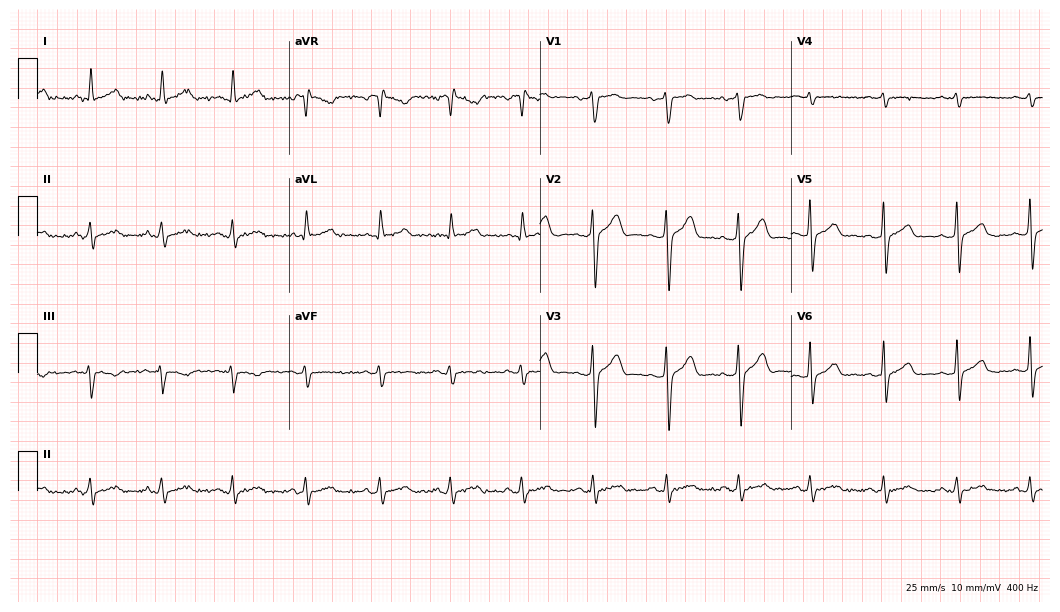
Resting 12-lead electrocardiogram (10.2-second recording at 400 Hz). Patient: a 34-year-old male. None of these six findings is recorded: first-degree AV block, right bundle branch block, left bundle branch block, sinus bradycardia, atrial fibrillation, sinus tachycardia.